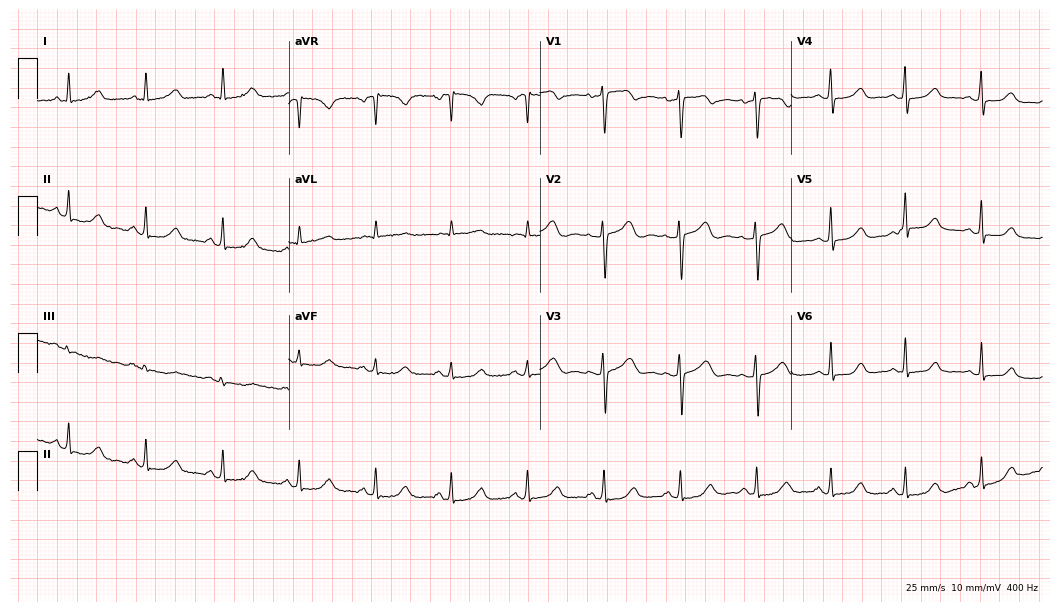
Standard 12-lead ECG recorded from a 49-year-old female (10.2-second recording at 400 Hz). Read as a normal ECG.